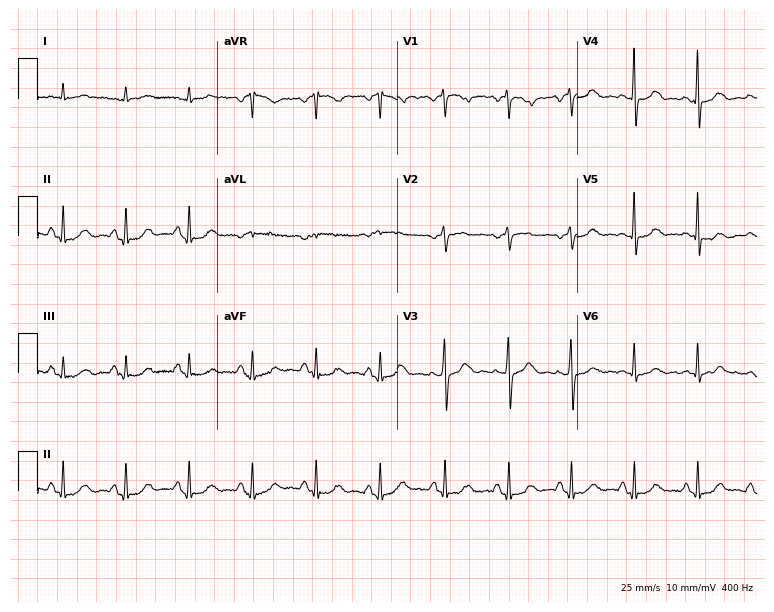
ECG (7.3-second recording at 400 Hz) — a 68-year-old male patient. Screened for six findings — first-degree AV block, right bundle branch block, left bundle branch block, sinus bradycardia, atrial fibrillation, sinus tachycardia — none is recorded.